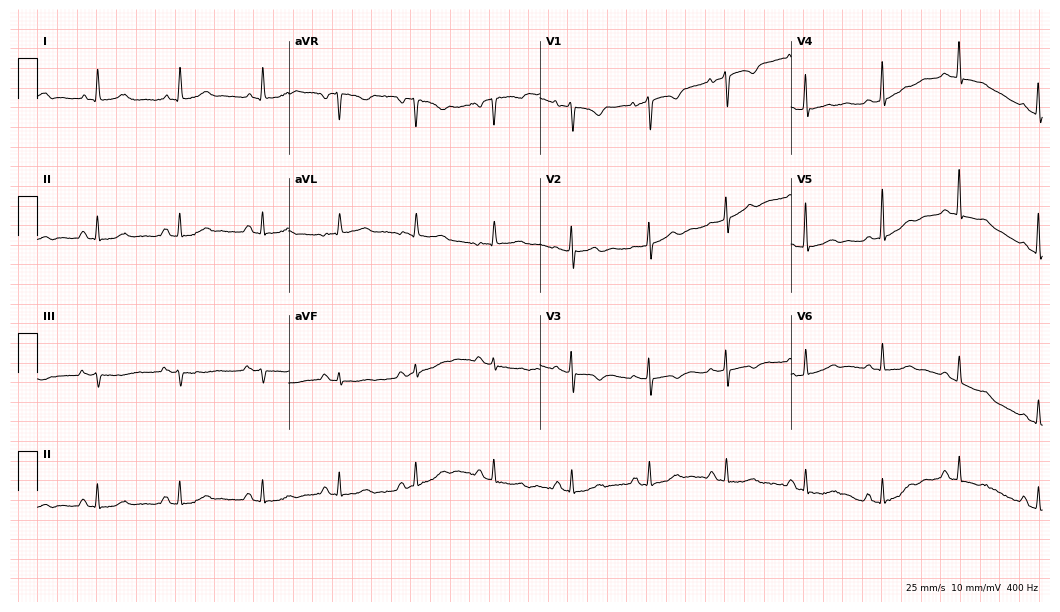
Standard 12-lead ECG recorded from a female patient, 58 years old (10.2-second recording at 400 Hz). None of these six findings is recorded: first-degree AV block, right bundle branch block (RBBB), left bundle branch block (LBBB), sinus bradycardia, atrial fibrillation (AF), sinus tachycardia.